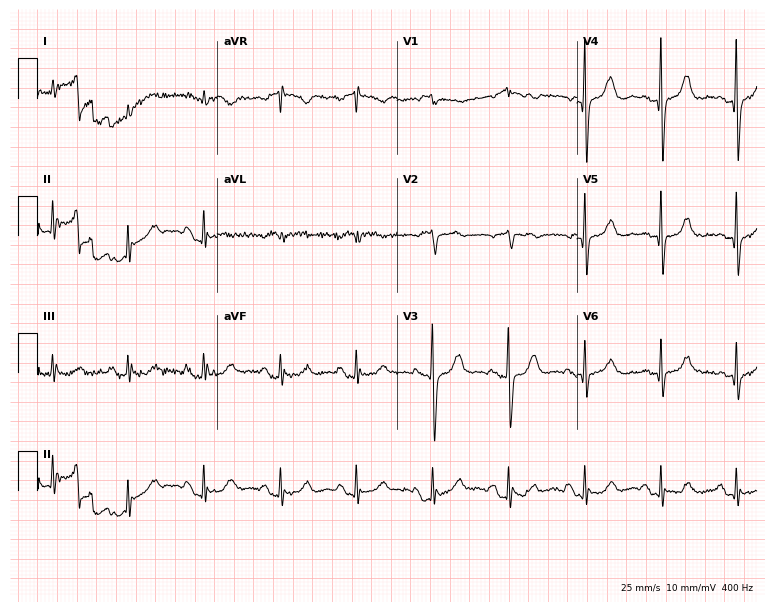
12-lead ECG from a woman, 21 years old (7.3-second recording at 400 Hz). Recorded interpretation: within normal limits.